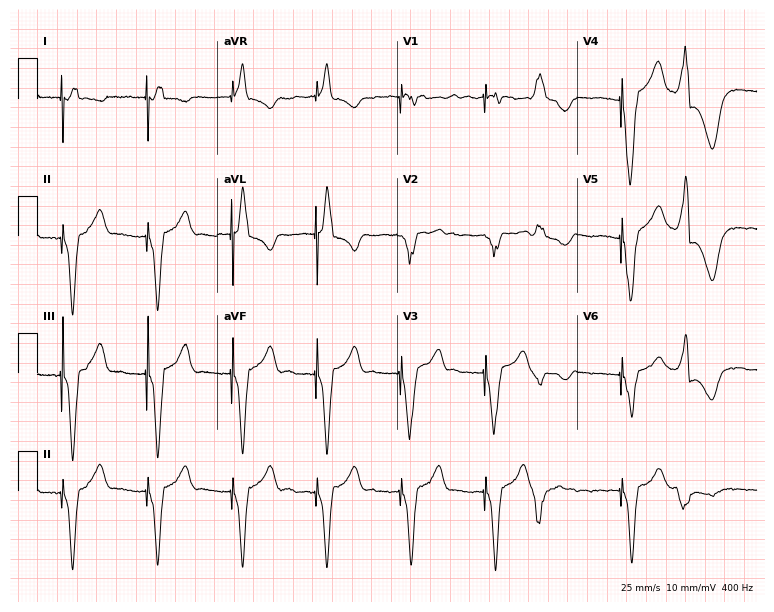
12-lead ECG (7.3-second recording at 400 Hz) from a 70-year-old female. Screened for six findings — first-degree AV block, right bundle branch block, left bundle branch block, sinus bradycardia, atrial fibrillation, sinus tachycardia — none is recorded. Other findings, if any, are not listed.